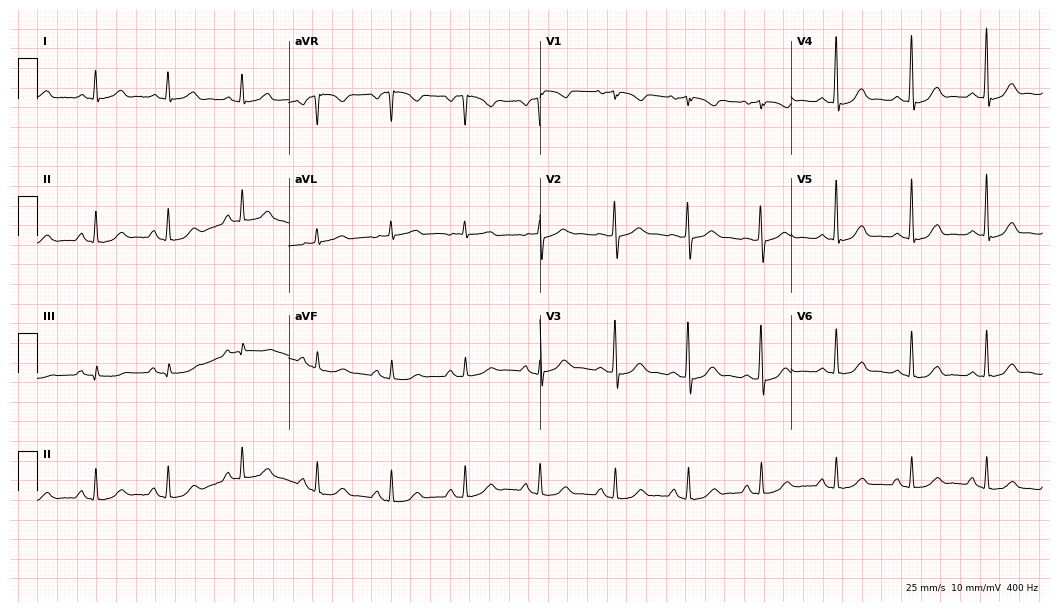
12-lead ECG from a 70-year-old female. Labelled as a normal ECG.